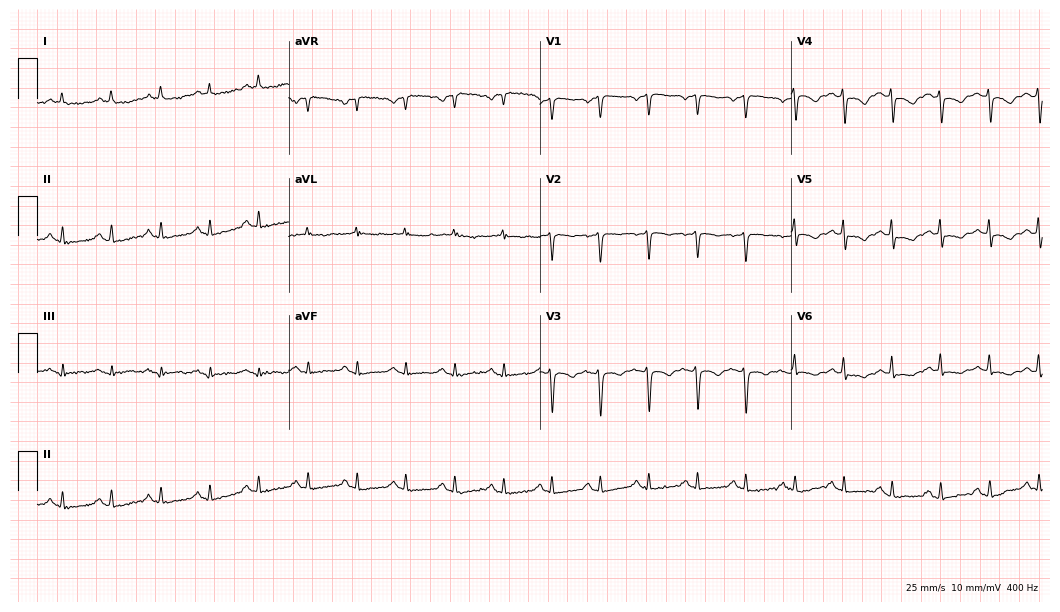
Resting 12-lead electrocardiogram. Patient: a 45-year-old female. The tracing shows sinus tachycardia (a sinus rate of 100 beats per minute or more).